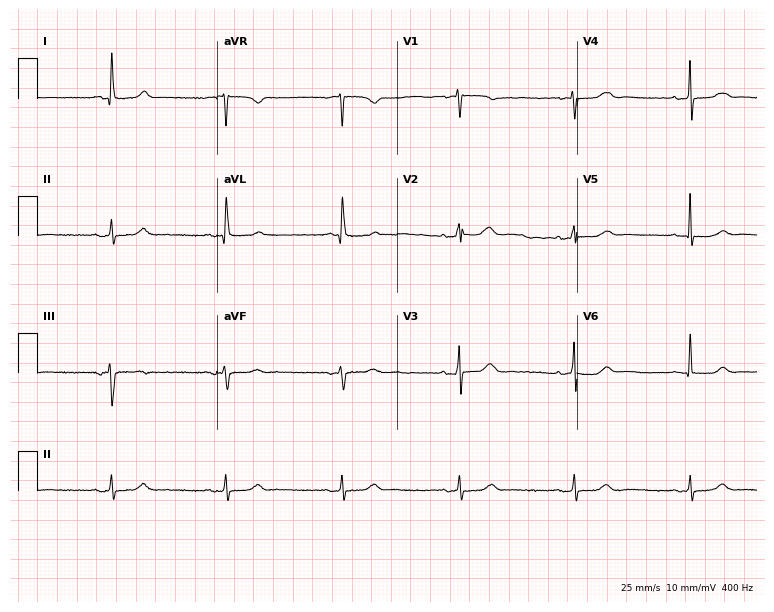
12-lead ECG from a woman, 76 years old (7.3-second recording at 400 Hz). No first-degree AV block, right bundle branch block (RBBB), left bundle branch block (LBBB), sinus bradycardia, atrial fibrillation (AF) or sinus tachycardia recorded for this tracing. Other findings, if any, are not listed.